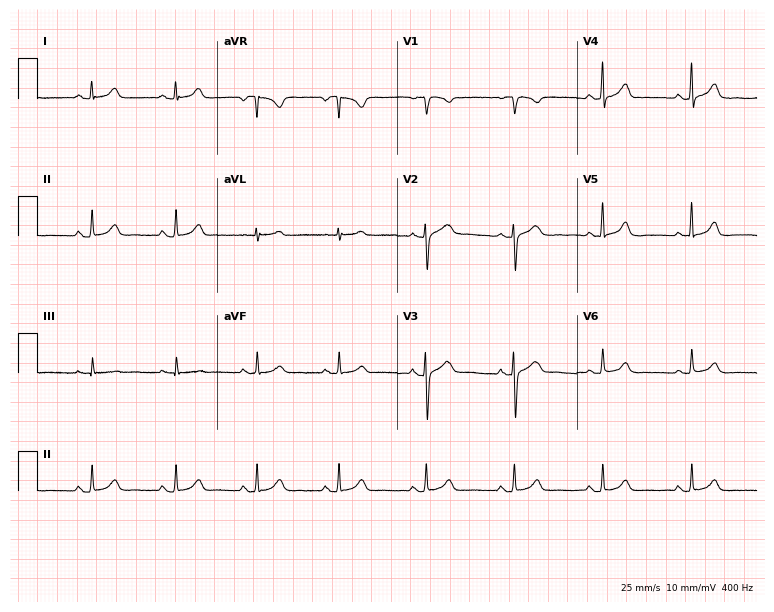
ECG (7.3-second recording at 400 Hz) — a female, 37 years old. Screened for six findings — first-degree AV block, right bundle branch block, left bundle branch block, sinus bradycardia, atrial fibrillation, sinus tachycardia — none is recorded. Other findings, if any, are not listed.